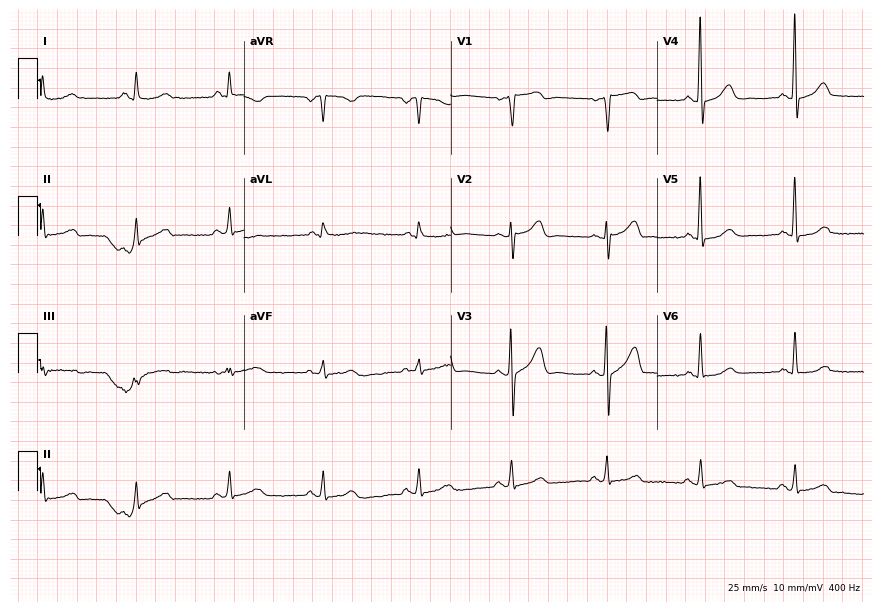
Standard 12-lead ECG recorded from a man, 55 years old. Read as a normal ECG.